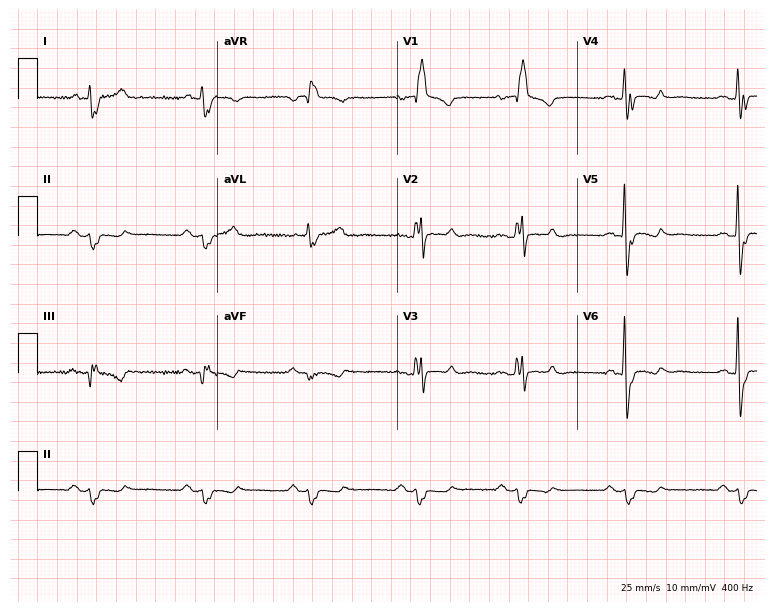
12-lead ECG from a man, 62 years old (7.3-second recording at 400 Hz). Shows right bundle branch block.